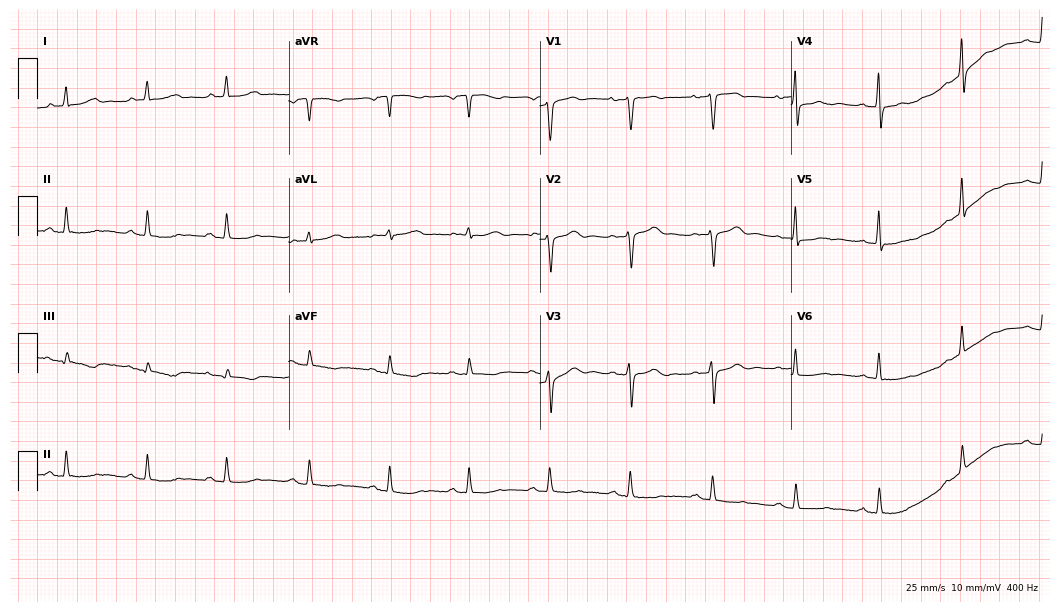
12-lead ECG (10.2-second recording at 400 Hz) from a woman, 71 years old. Screened for six findings — first-degree AV block, right bundle branch block, left bundle branch block, sinus bradycardia, atrial fibrillation, sinus tachycardia — none is recorded. Only these six findings were labelled.